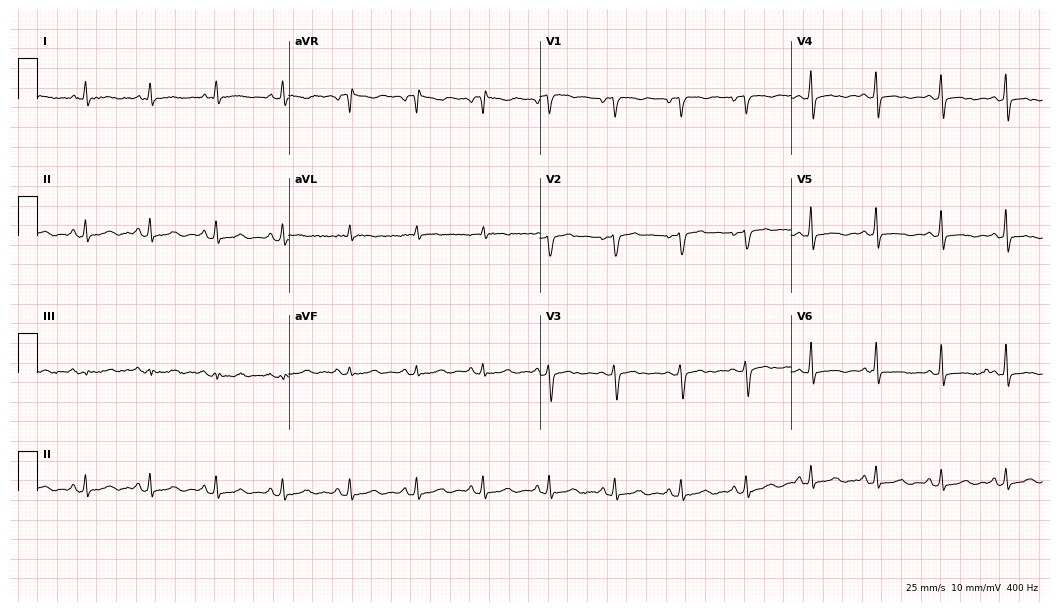
Electrocardiogram, a female, 50 years old. Of the six screened findings (first-degree AV block, right bundle branch block, left bundle branch block, sinus bradycardia, atrial fibrillation, sinus tachycardia), none is recorded. Only these six findings were labelled.